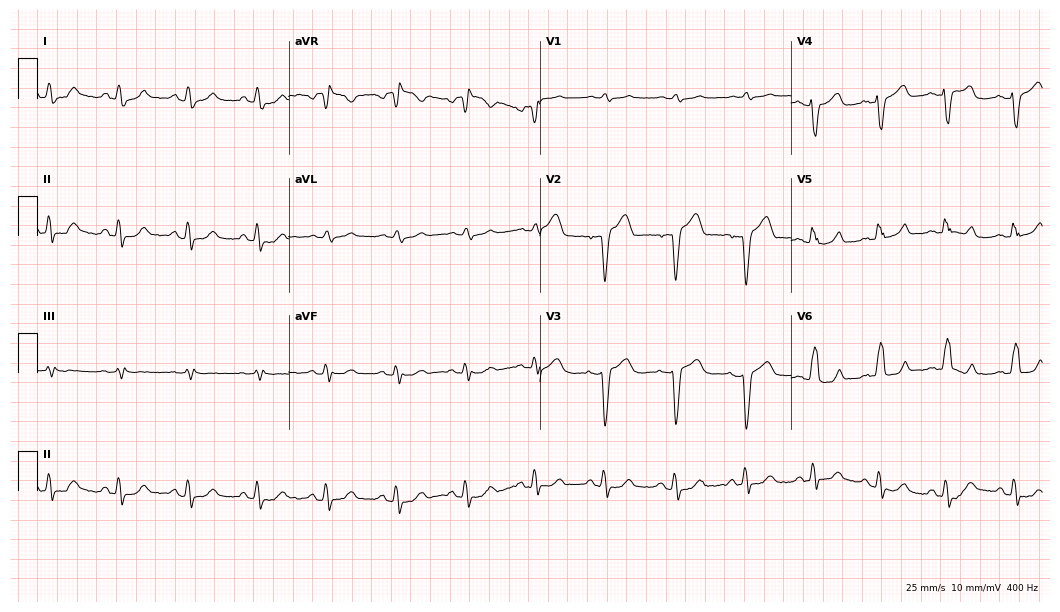
Electrocardiogram, a 63-year-old female. Of the six screened findings (first-degree AV block, right bundle branch block (RBBB), left bundle branch block (LBBB), sinus bradycardia, atrial fibrillation (AF), sinus tachycardia), none is recorded.